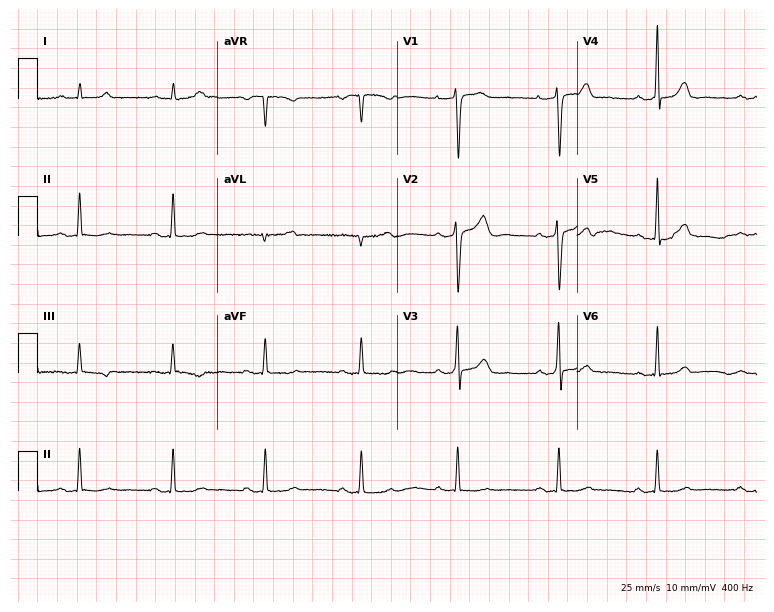
Standard 12-lead ECG recorded from a female patient, 50 years old. None of these six findings is recorded: first-degree AV block, right bundle branch block, left bundle branch block, sinus bradycardia, atrial fibrillation, sinus tachycardia. Only these six findings were labelled.